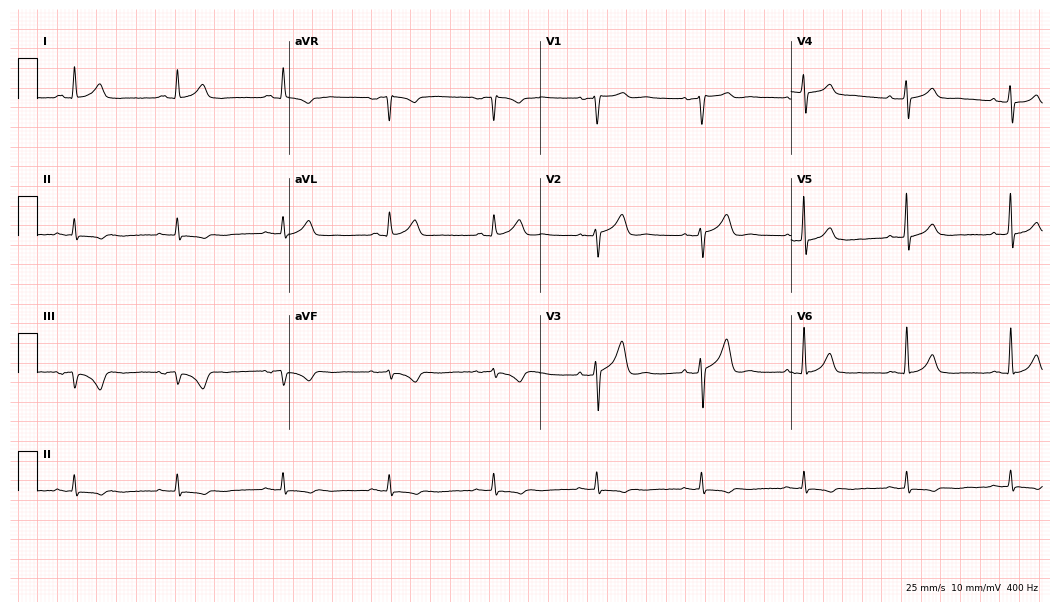
Standard 12-lead ECG recorded from a 73-year-old male (10.2-second recording at 400 Hz). None of these six findings is recorded: first-degree AV block, right bundle branch block (RBBB), left bundle branch block (LBBB), sinus bradycardia, atrial fibrillation (AF), sinus tachycardia. Only these six findings were labelled.